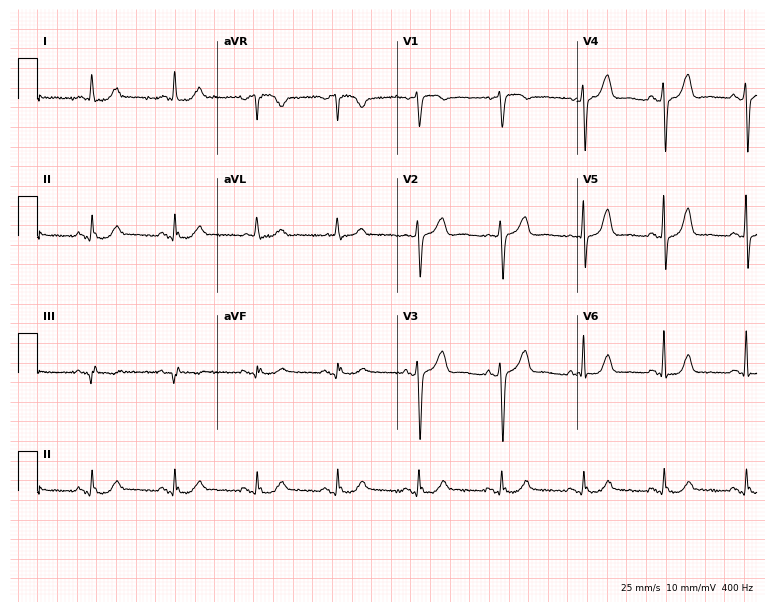
ECG — a 61-year-old female. Labelled as a normal ECG.